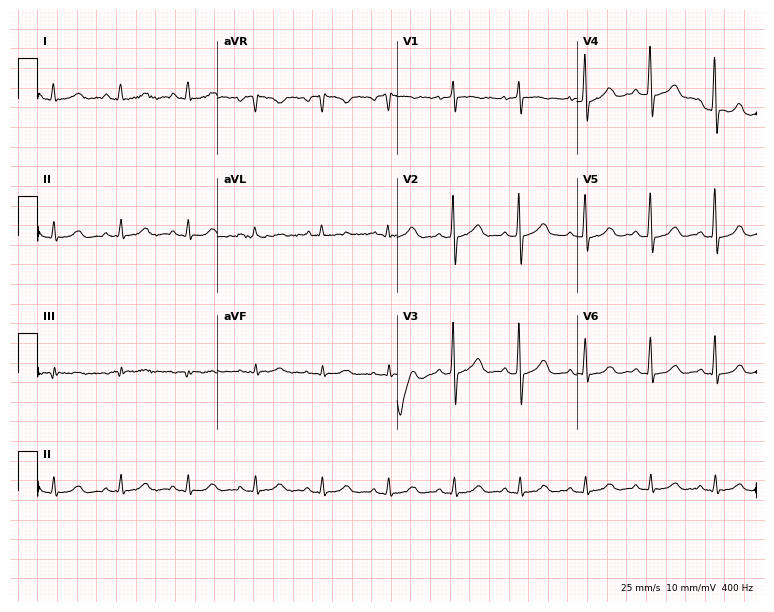
Standard 12-lead ECG recorded from a female, 58 years old (7.3-second recording at 400 Hz). None of these six findings is recorded: first-degree AV block, right bundle branch block, left bundle branch block, sinus bradycardia, atrial fibrillation, sinus tachycardia.